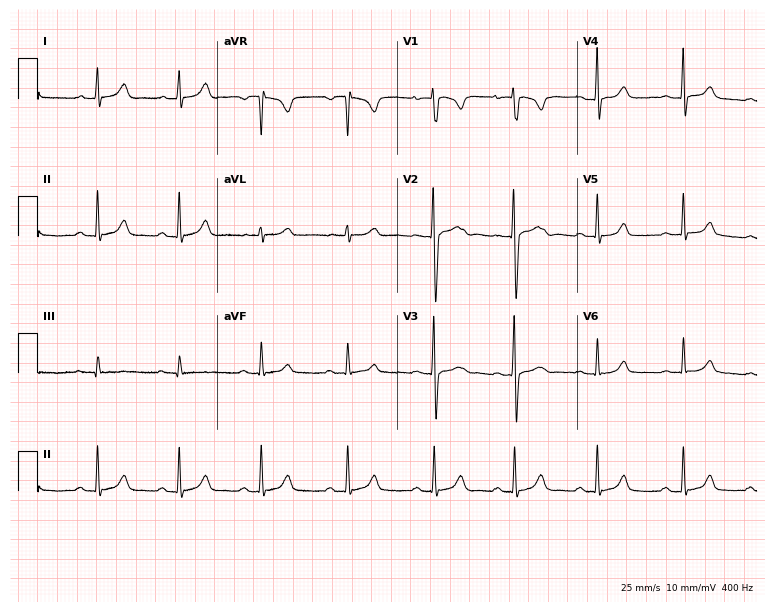
ECG — a female patient, 24 years old. Labelled as a normal ECG.